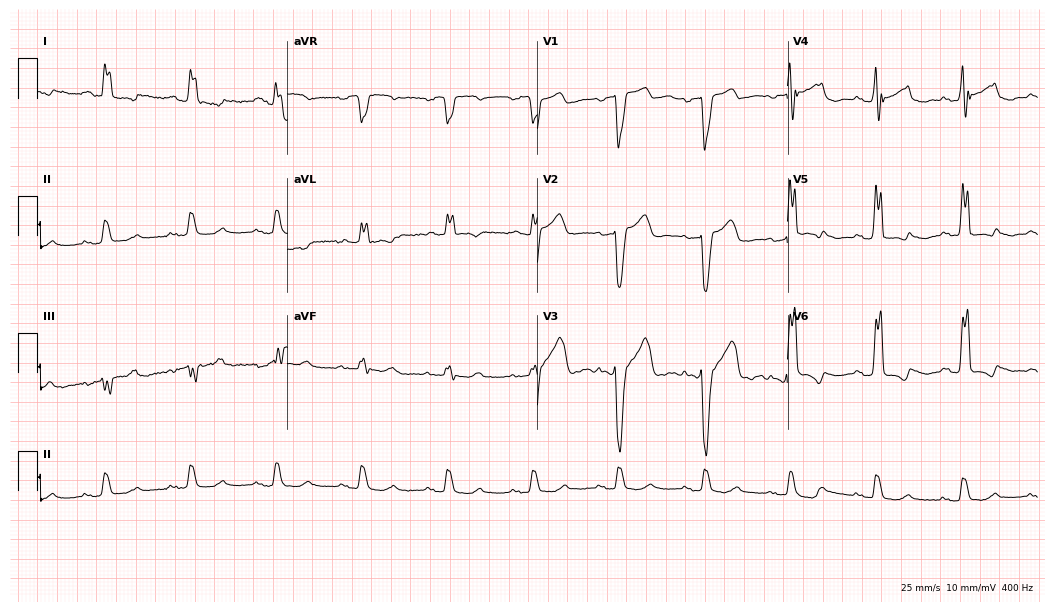
Electrocardiogram, a woman, 77 years old. Interpretation includes left bundle branch block.